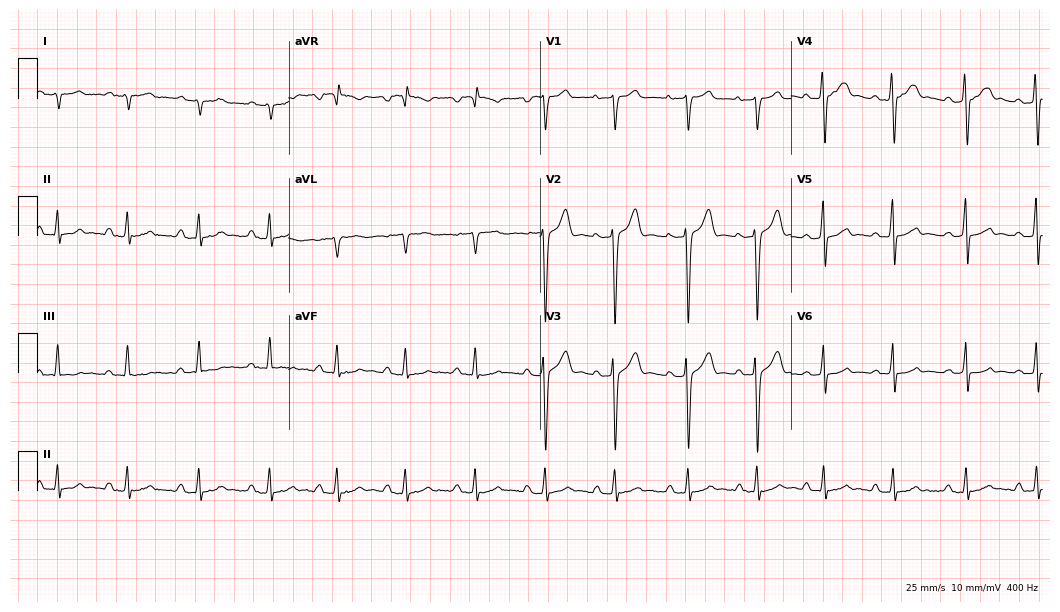
Electrocardiogram (10.2-second recording at 400 Hz), a male, 28 years old. Overall reading on record: normal ECG.